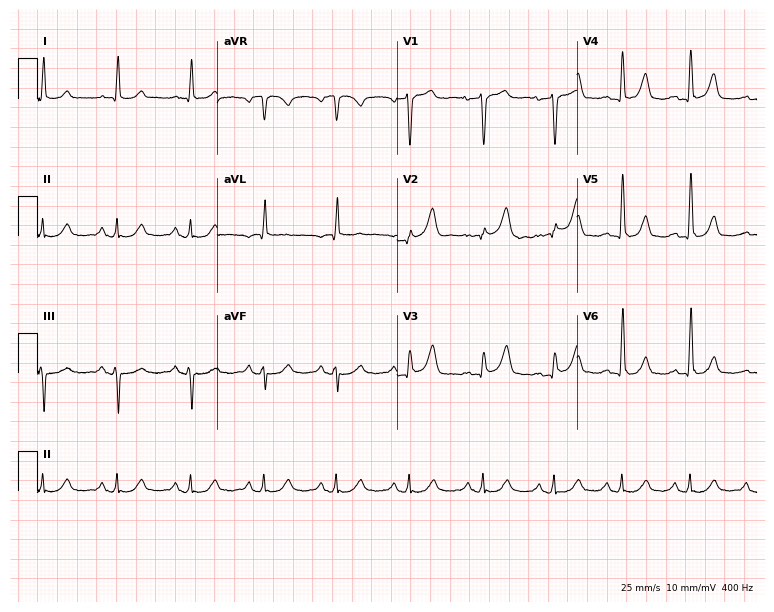
ECG (7.3-second recording at 400 Hz) — a 76-year-old man. Screened for six findings — first-degree AV block, right bundle branch block (RBBB), left bundle branch block (LBBB), sinus bradycardia, atrial fibrillation (AF), sinus tachycardia — none is recorded. Only these six findings were labelled.